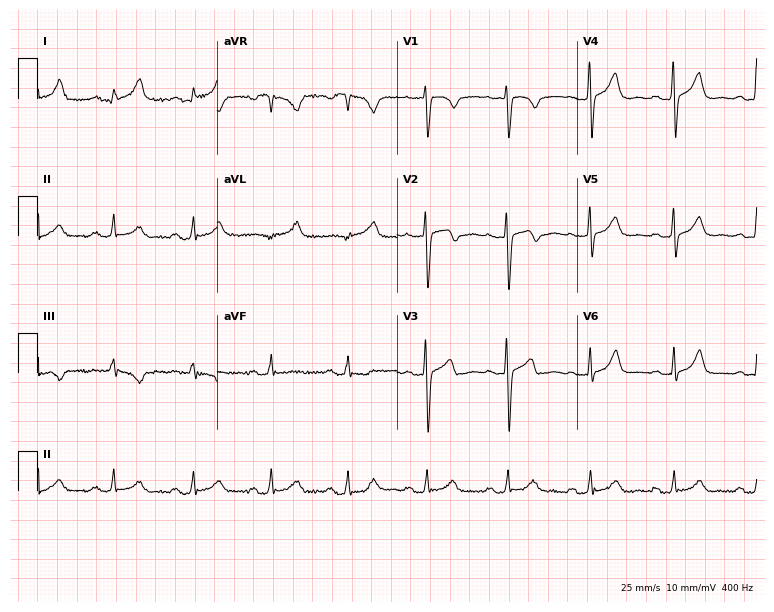
12-lead ECG (7.3-second recording at 400 Hz) from a 36-year-old woman. Screened for six findings — first-degree AV block, right bundle branch block, left bundle branch block, sinus bradycardia, atrial fibrillation, sinus tachycardia — none is recorded. Other findings, if any, are not listed.